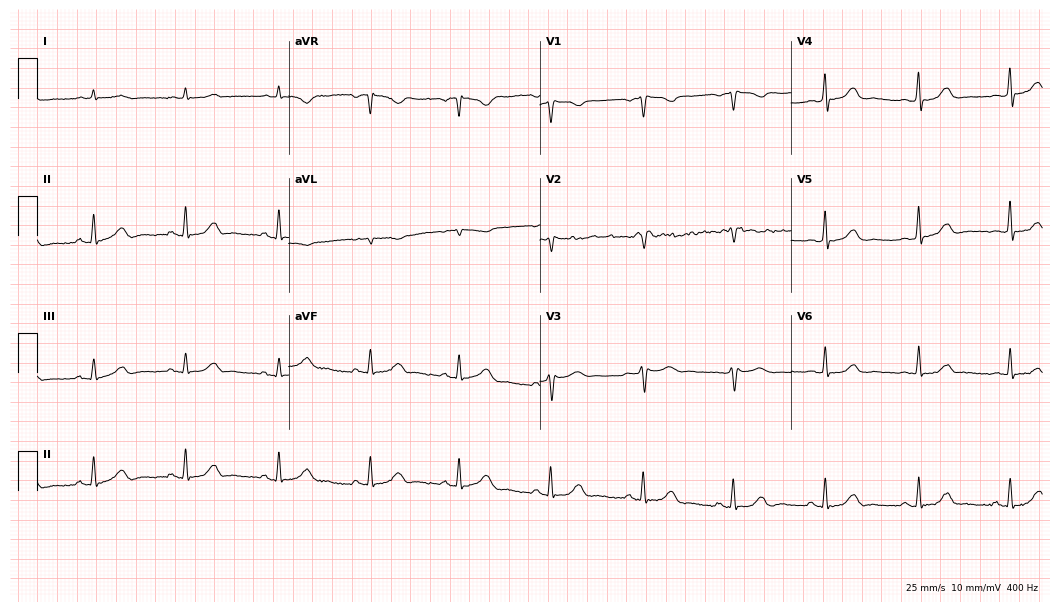
Standard 12-lead ECG recorded from a man, 69 years old (10.2-second recording at 400 Hz). None of these six findings is recorded: first-degree AV block, right bundle branch block (RBBB), left bundle branch block (LBBB), sinus bradycardia, atrial fibrillation (AF), sinus tachycardia. Only these six findings were labelled.